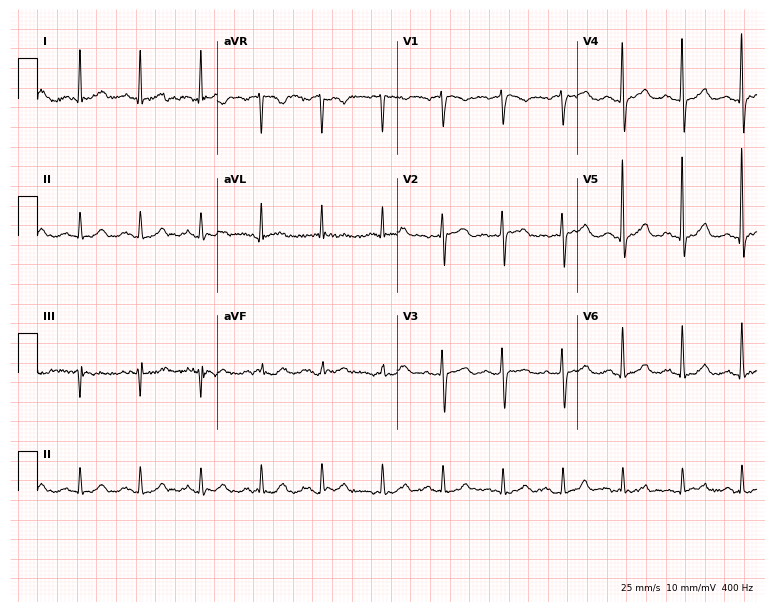
Resting 12-lead electrocardiogram (7.3-second recording at 400 Hz). Patient: a woman, 52 years old. Read as a normal ECG.